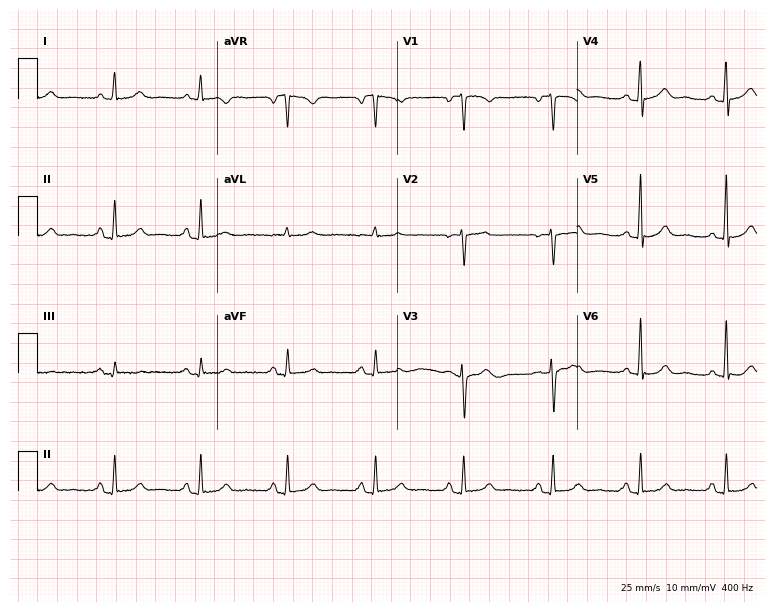
Electrocardiogram, a woman, 37 years old. Overall reading on record: normal ECG.